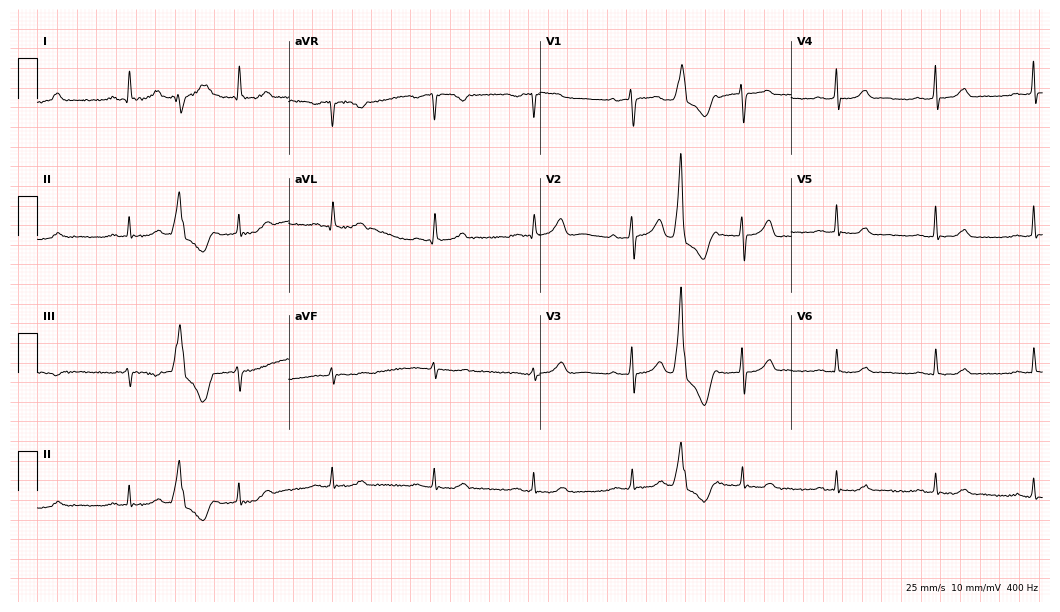
12-lead ECG from a 61-year-old woman (10.2-second recording at 400 Hz). No first-degree AV block, right bundle branch block (RBBB), left bundle branch block (LBBB), sinus bradycardia, atrial fibrillation (AF) or sinus tachycardia recorded for this tracing. Findings outside these six are not listed.